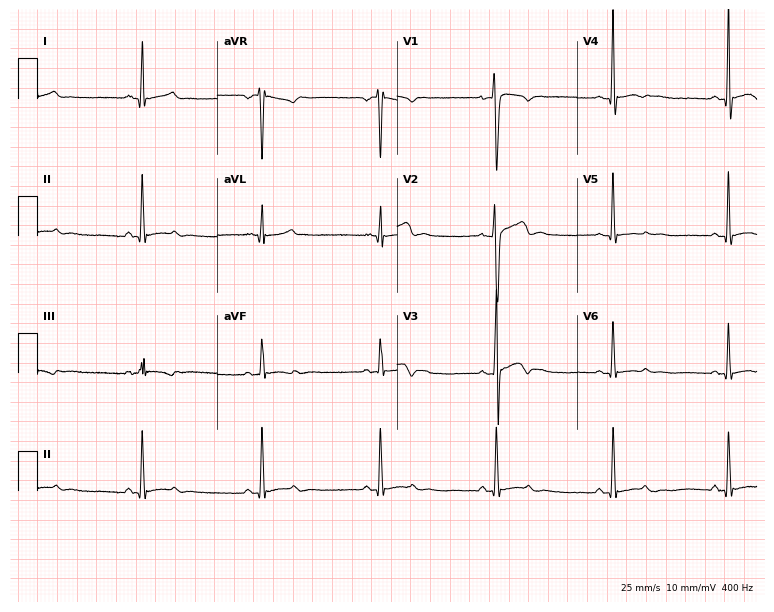
Resting 12-lead electrocardiogram (7.3-second recording at 400 Hz). Patient: a male, 20 years old. The tracing shows sinus bradycardia (a sinus rate of 50 beats per minute or less).